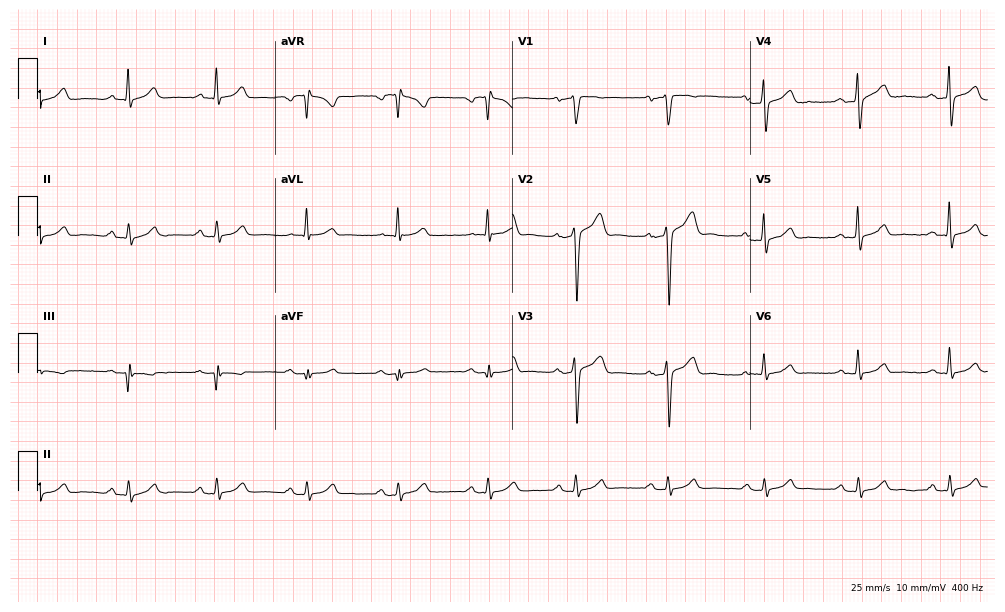
Standard 12-lead ECG recorded from a 59-year-old male (9.7-second recording at 400 Hz). Read as a normal ECG.